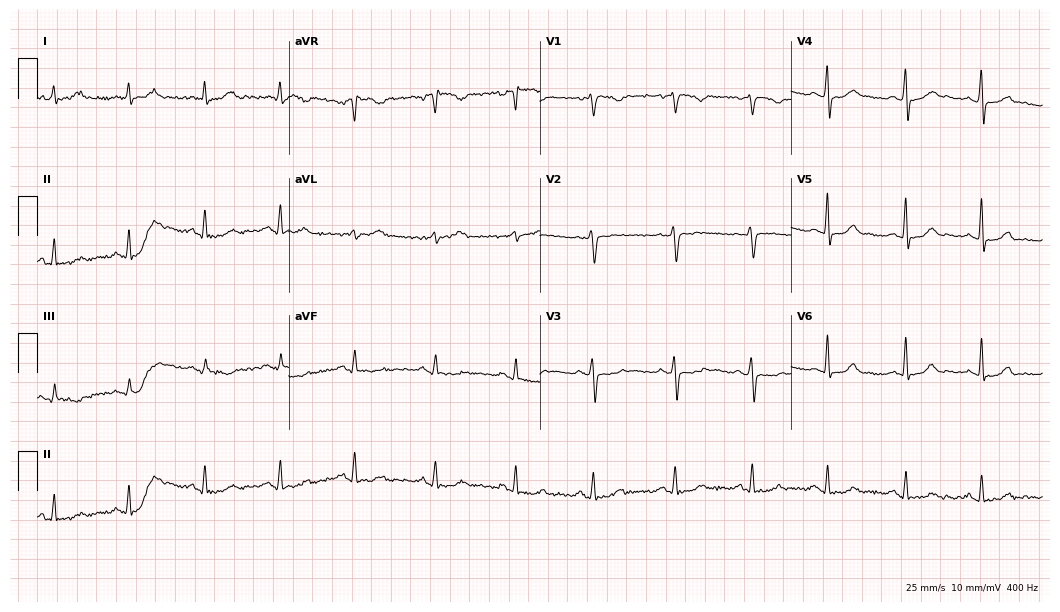
12-lead ECG from a 40-year-old female. Recorded interpretation: within normal limits.